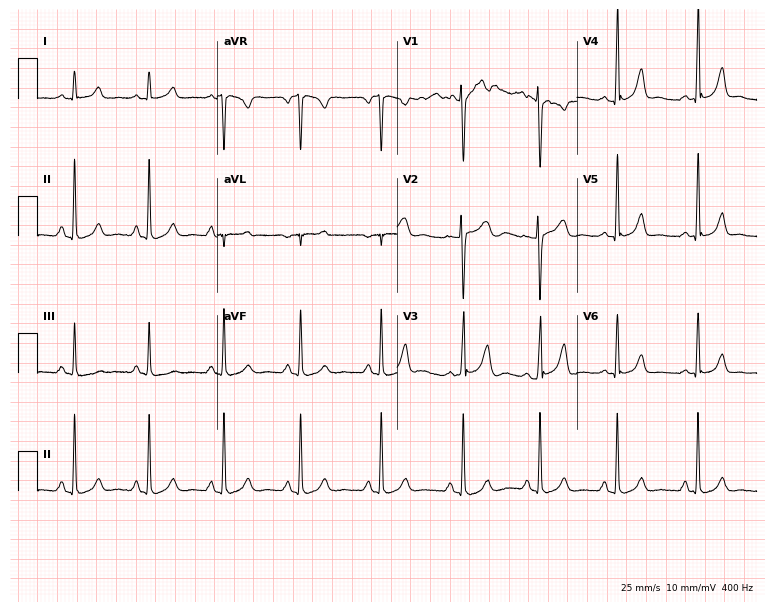
12-lead ECG from a 77-year-old female. Labelled as a normal ECG.